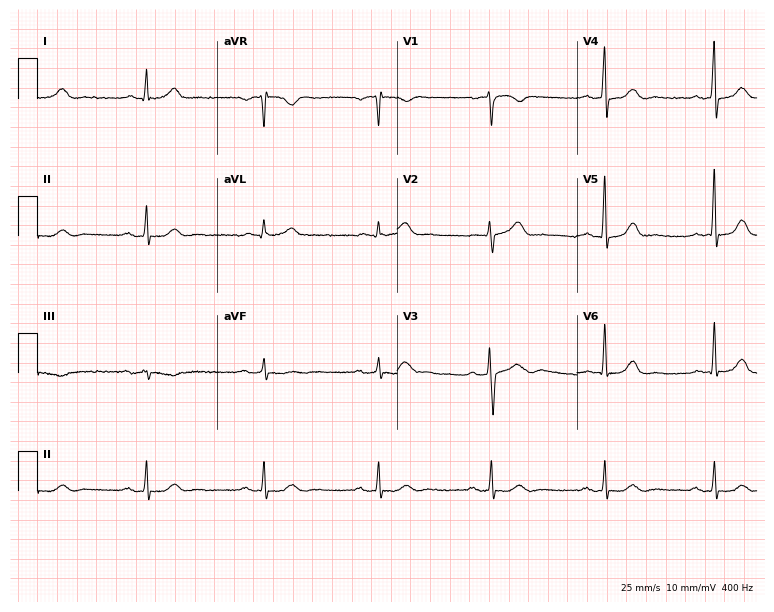
12-lead ECG from a 55-year-old male. Labelled as a normal ECG.